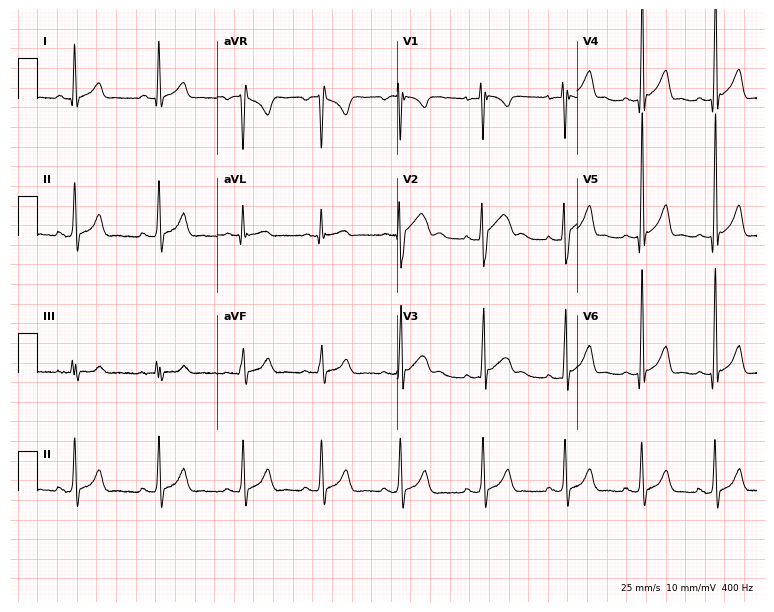
12-lead ECG from a male, 18 years old. No first-degree AV block, right bundle branch block (RBBB), left bundle branch block (LBBB), sinus bradycardia, atrial fibrillation (AF) or sinus tachycardia recorded for this tracing.